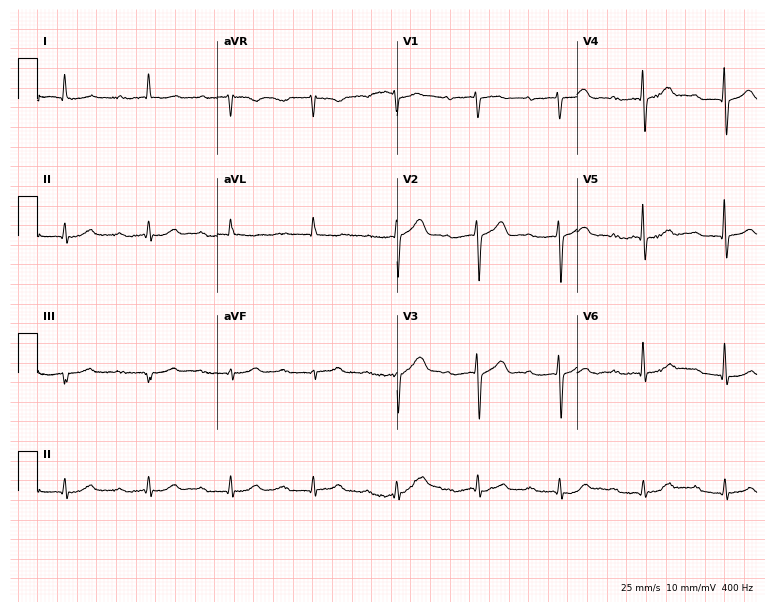
12-lead ECG from an 84-year-old male (7.3-second recording at 400 Hz). Recorded interpretation: within normal limits.